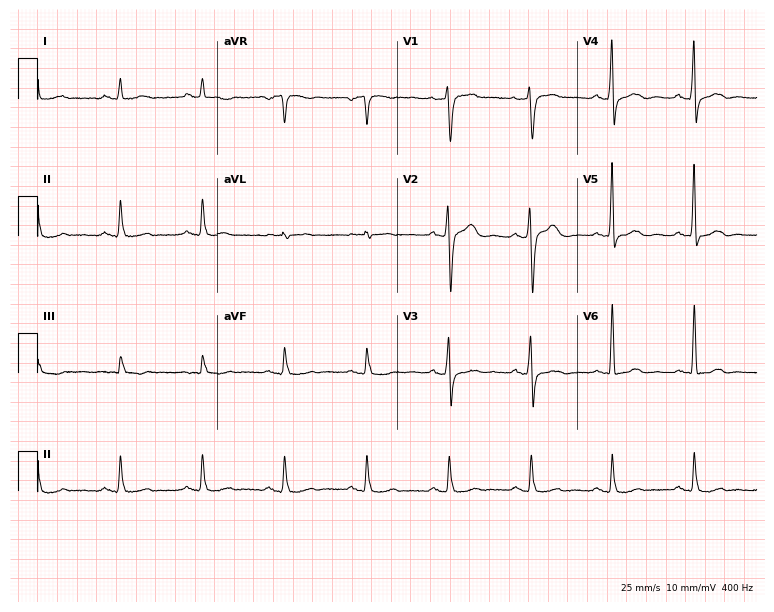
Standard 12-lead ECG recorded from a male patient, 65 years old. None of these six findings is recorded: first-degree AV block, right bundle branch block, left bundle branch block, sinus bradycardia, atrial fibrillation, sinus tachycardia. Findings outside these six are not listed.